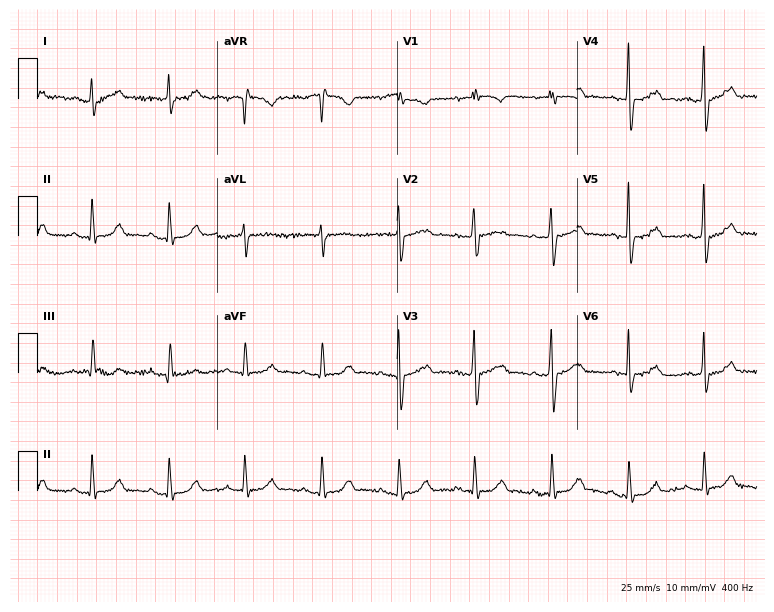
Electrocardiogram, a 76-year-old man. Of the six screened findings (first-degree AV block, right bundle branch block, left bundle branch block, sinus bradycardia, atrial fibrillation, sinus tachycardia), none is recorded. Other findings, if any, are not listed.